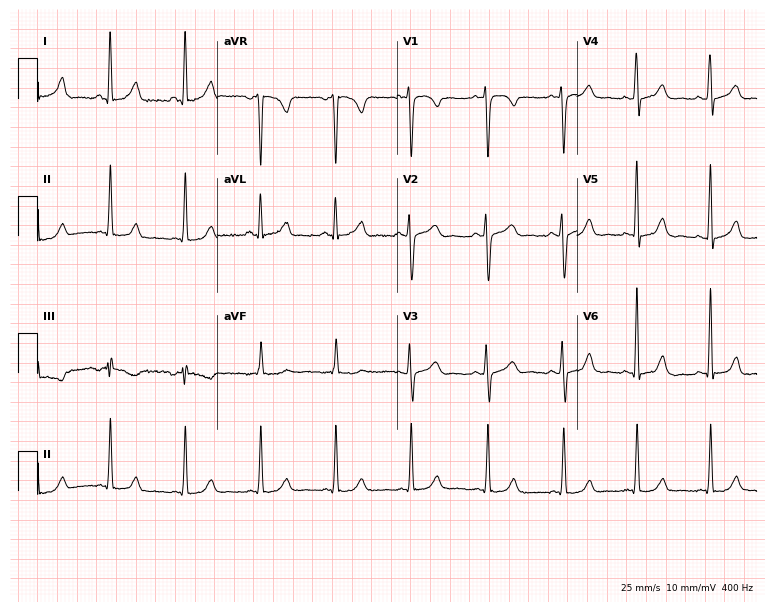
Electrocardiogram, a 36-year-old female. Overall reading on record: normal ECG.